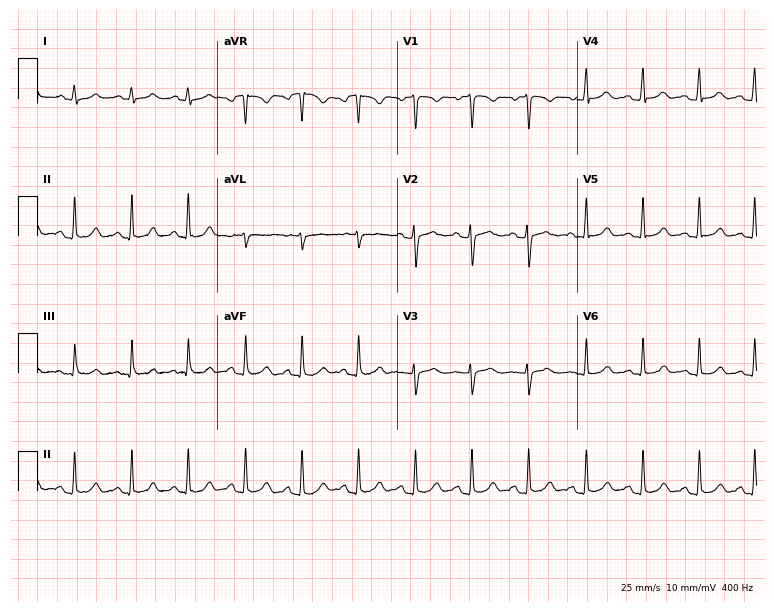
12-lead ECG (7.3-second recording at 400 Hz) from a female patient, 26 years old. Findings include sinus tachycardia (a sinus rate of 100 beats per minute or more).